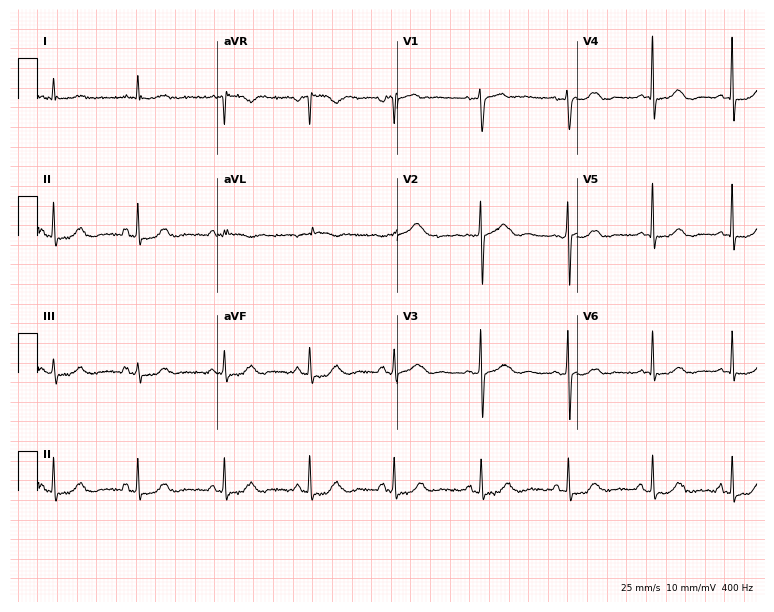
Standard 12-lead ECG recorded from a 75-year-old female (7.3-second recording at 400 Hz). Read as a normal ECG.